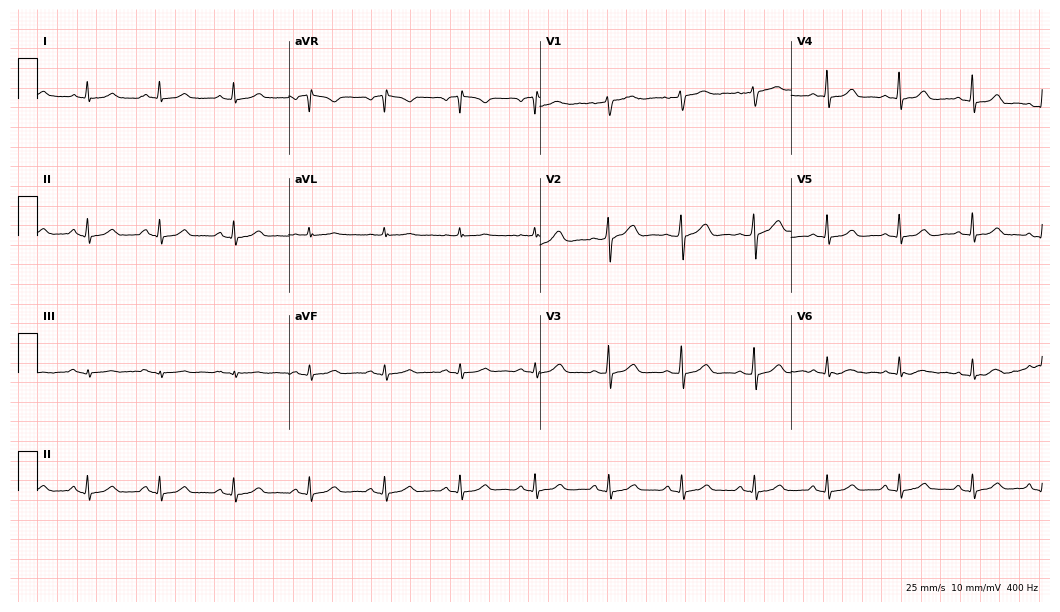
12-lead ECG from a 49-year-old female patient (10.2-second recording at 400 Hz). Recorded interpretation: within normal limits.